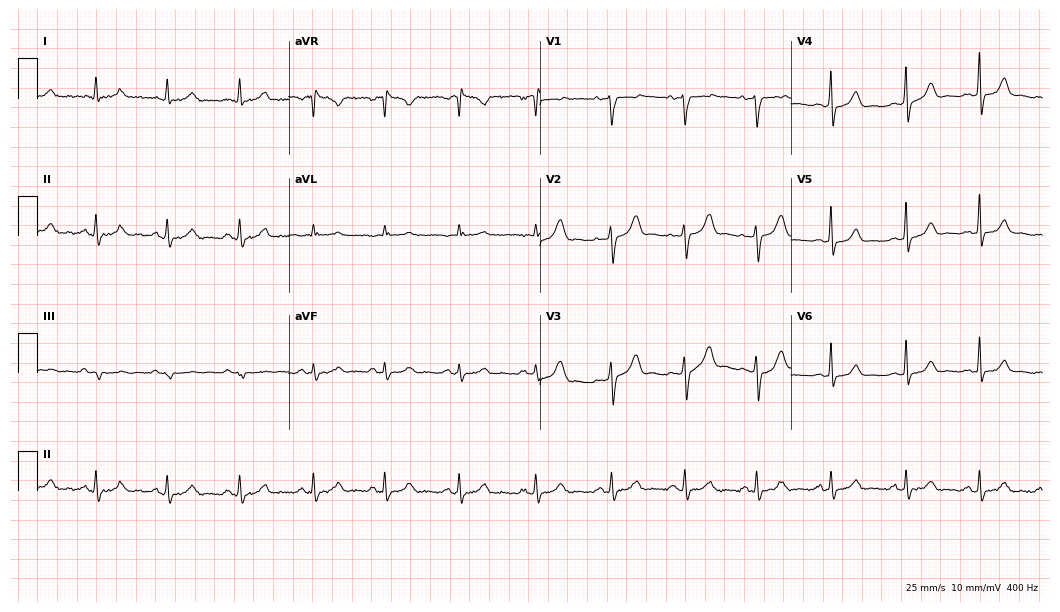
Resting 12-lead electrocardiogram. Patient: a 23-year-old female. Read as a normal ECG.